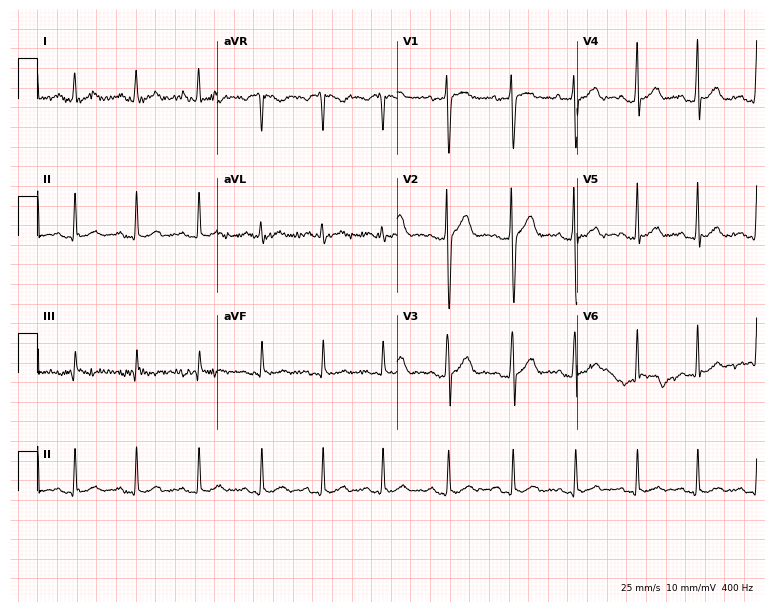
12-lead ECG from a 29-year-old man. Labelled as a normal ECG.